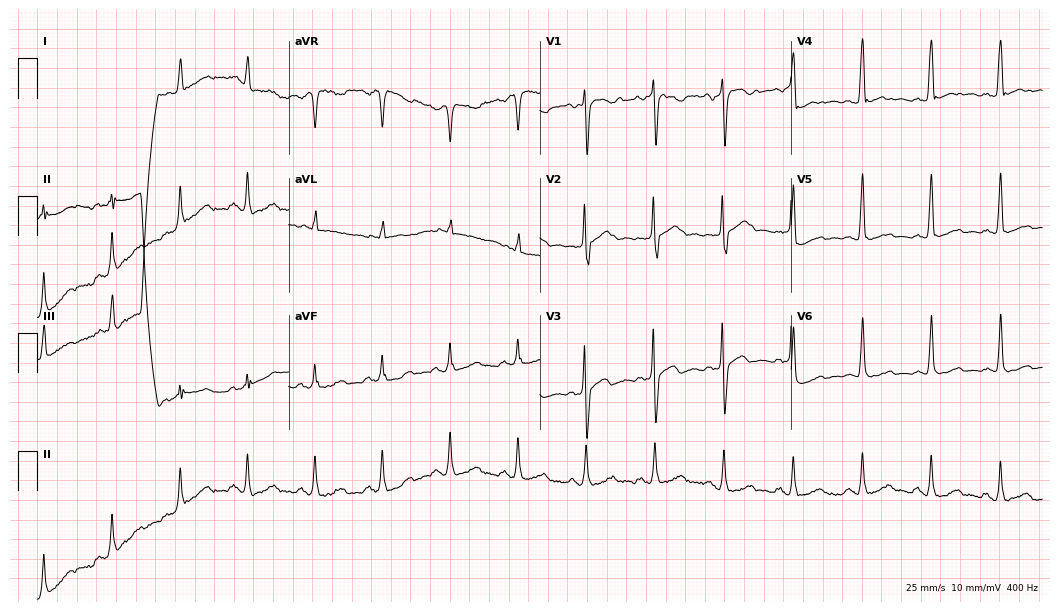
Resting 12-lead electrocardiogram. Patient: a 43-year-old man. None of these six findings is recorded: first-degree AV block, right bundle branch block, left bundle branch block, sinus bradycardia, atrial fibrillation, sinus tachycardia. Only these six findings were labelled.